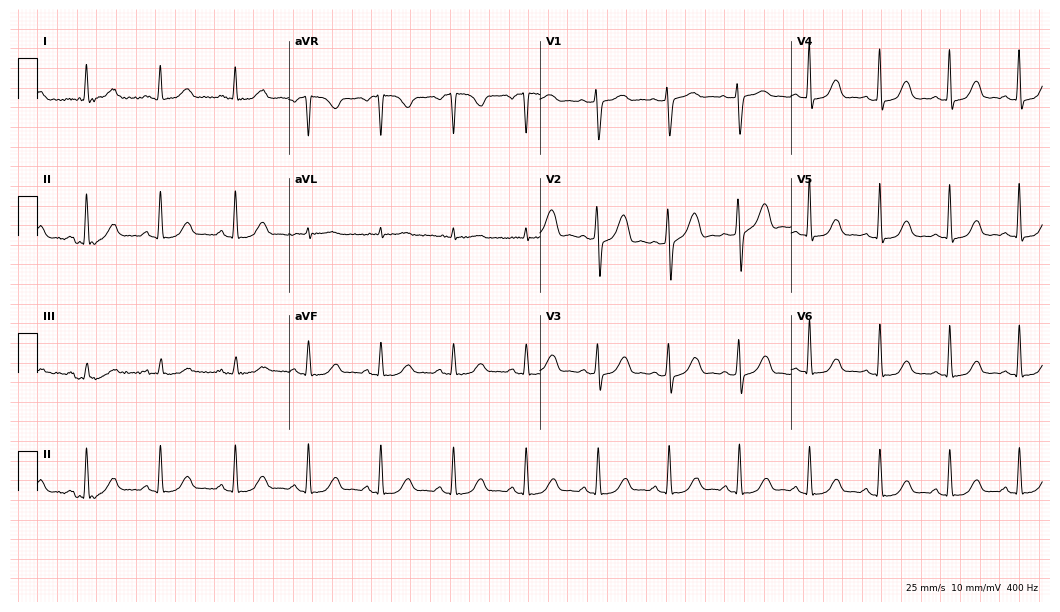
ECG (10.2-second recording at 400 Hz) — a woman, 63 years old. Labelled as a normal ECG.